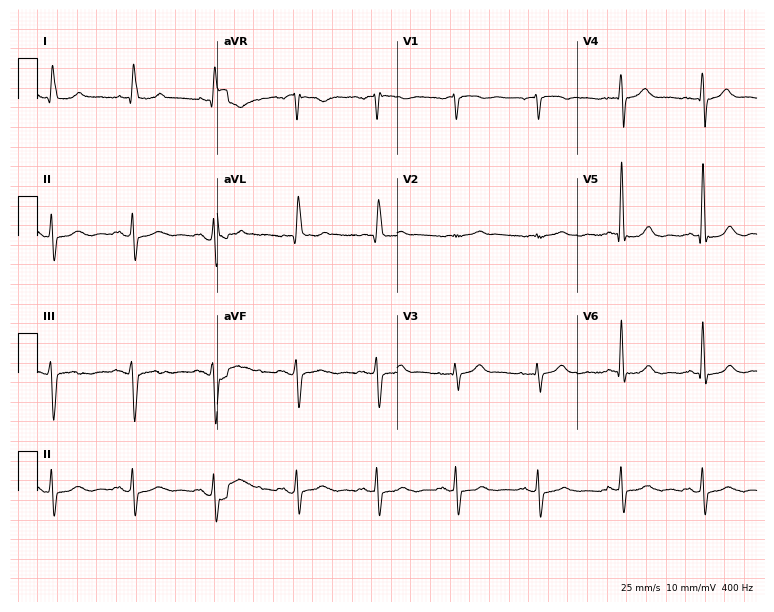
Standard 12-lead ECG recorded from an 83-year-old man. None of these six findings is recorded: first-degree AV block, right bundle branch block (RBBB), left bundle branch block (LBBB), sinus bradycardia, atrial fibrillation (AF), sinus tachycardia. Other findings, if any, are not listed.